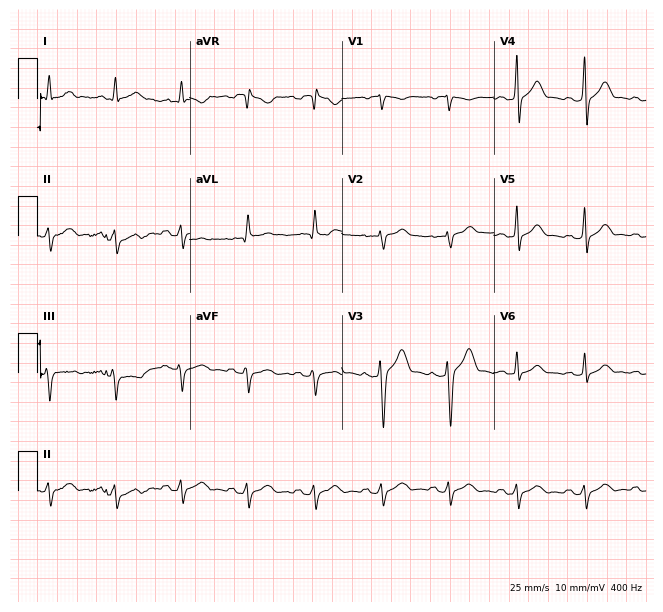
Resting 12-lead electrocardiogram (6.2-second recording at 400 Hz). Patient: a 36-year-old male. None of these six findings is recorded: first-degree AV block, right bundle branch block, left bundle branch block, sinus bradycardia, atrial fibrillation, sinus tachycardia.